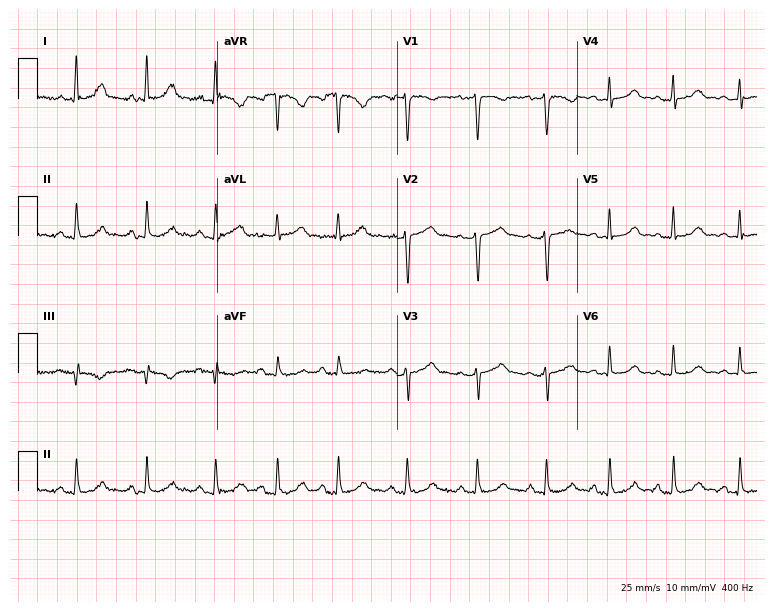
Electrocardiogram, a 47-year-old woman. Overall reading on record: normal ECG.